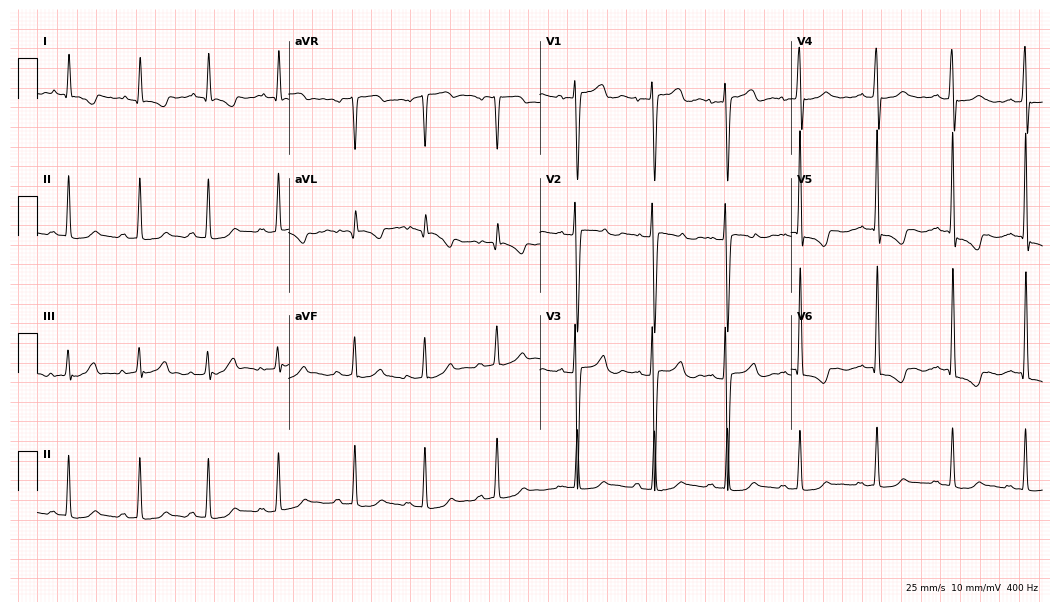
Resting 12-lead electrocardiogram. Patient: a female, 17 years old. None of these six findings is recorded: first-degree AV block, right bundle branch block, left bundle branch block, sinus bradycardia, atrial fibrillation, sinus tachycardia. Other findings, if any, are not listed.